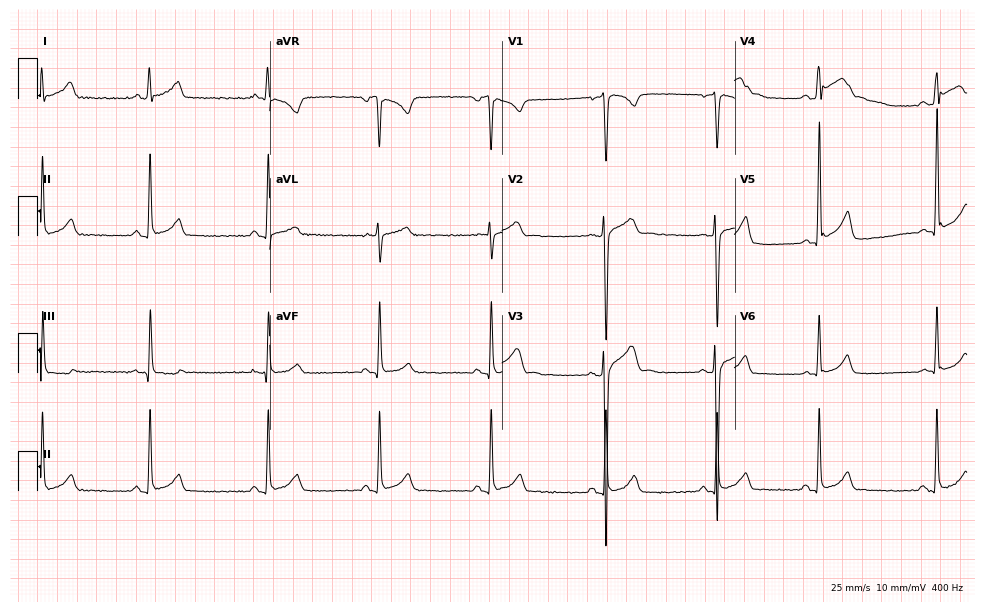
12-lead ECG (9.5-second recording at 400 Hz) from a 17-year-old male patient. Labelled as a normal ECG.